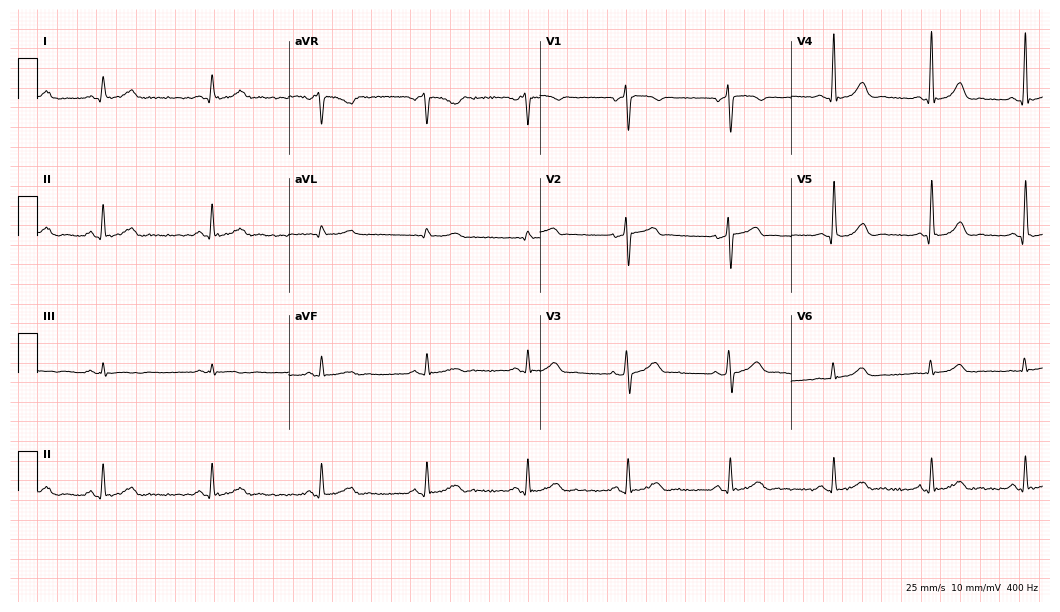
Resting 12-lead electrocardiogram. Patient: a 51-year-old man. Read as a normal ECG.